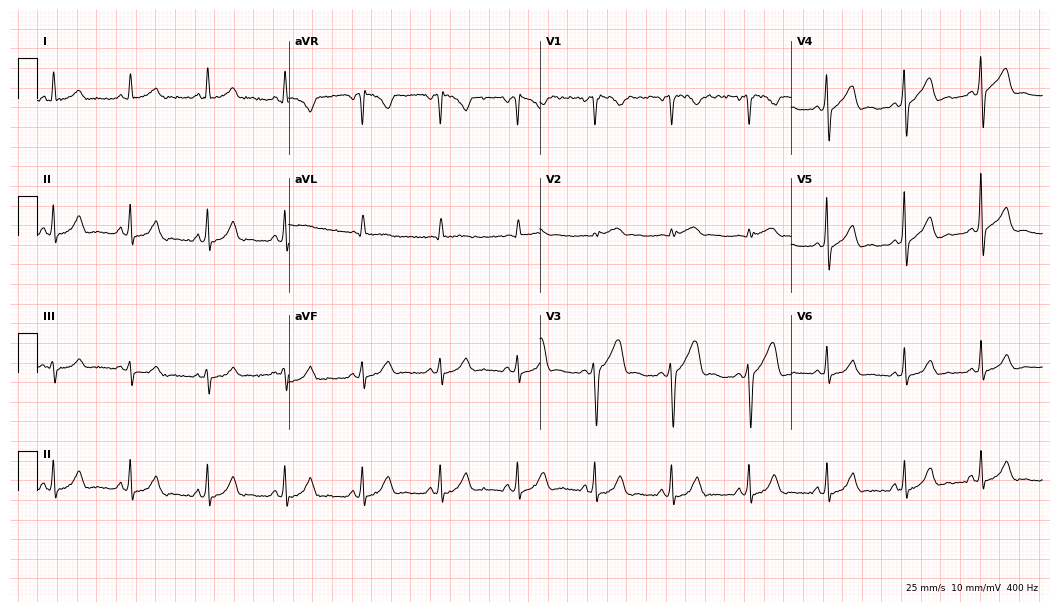
12-lead ECG from a man, 61 years old (10.2-second recording at 400 Hz). No first-degree AV block, right bundle branch block (RBBB), left bundle branch block (LBBB), sinus bradycardia, atrial fibrillation (AF) or sinus tachycardia recorded for this tracing.